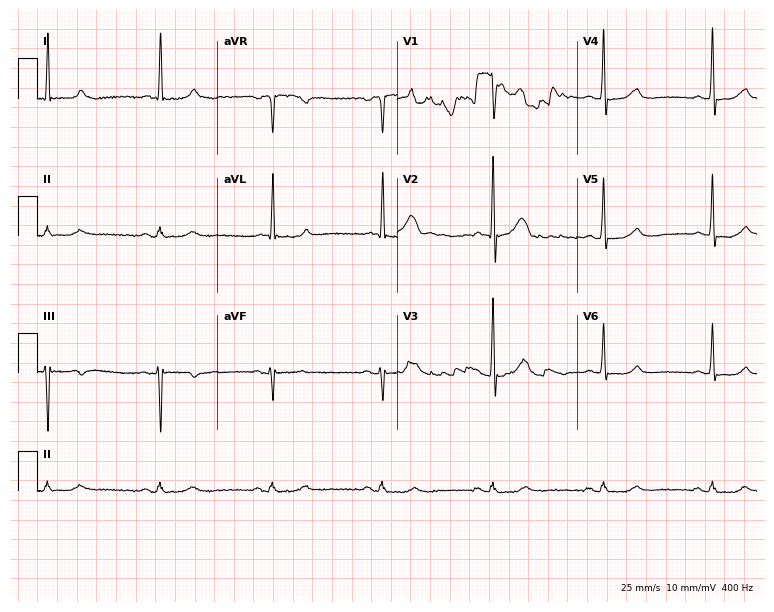
Standard 12-lead ECG recorded from a 74-year-old man. None of these six findings is recorded: first-degree AV block, right bundle branch block (RBBB), left bundle branch block (LBBB), sinus bradycardia, atrial fibrillation (AF), sinus tachycardia.